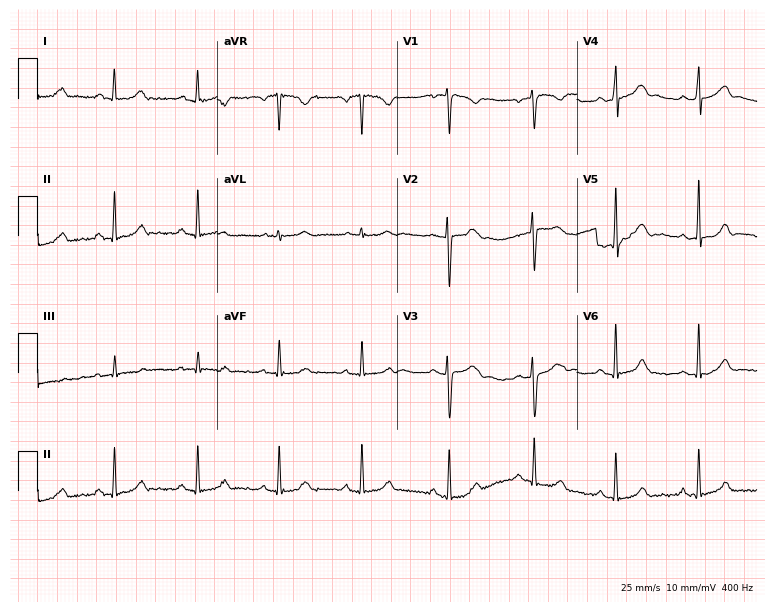
Resting 12-lead electrocardiogram (7.3-second recording at 400 Hz). Patient: a 34-year-old woman. Read as a normal ECG.